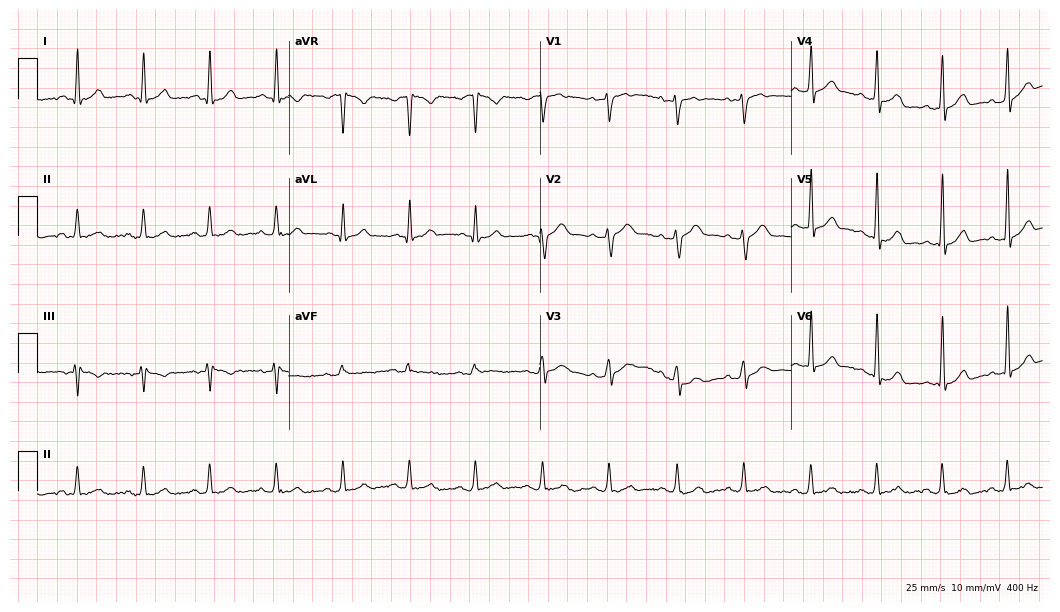
12-lead ECG from a man, 39 years old. Labelled as a normal ECG.